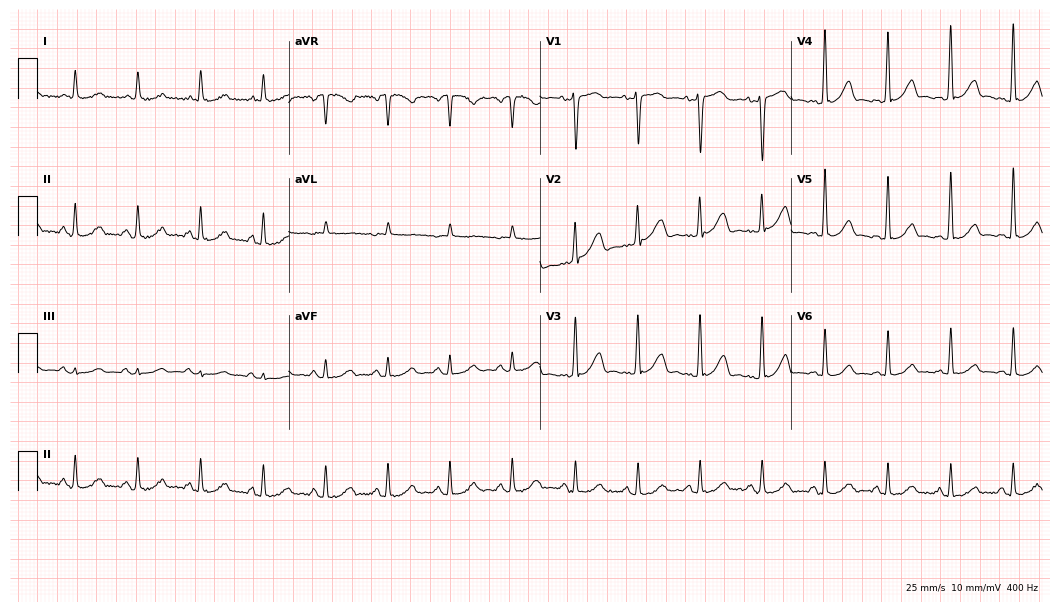
Electrocardiogram (10.2-second recording at 400 Hz), a 56-year-old woman. Of the six screened findings (first-degree AV block, right bundle branch block, left bundle branch block, sinus bradycardia, atrial fibrillation, sinus tachycardia), none is recorded.